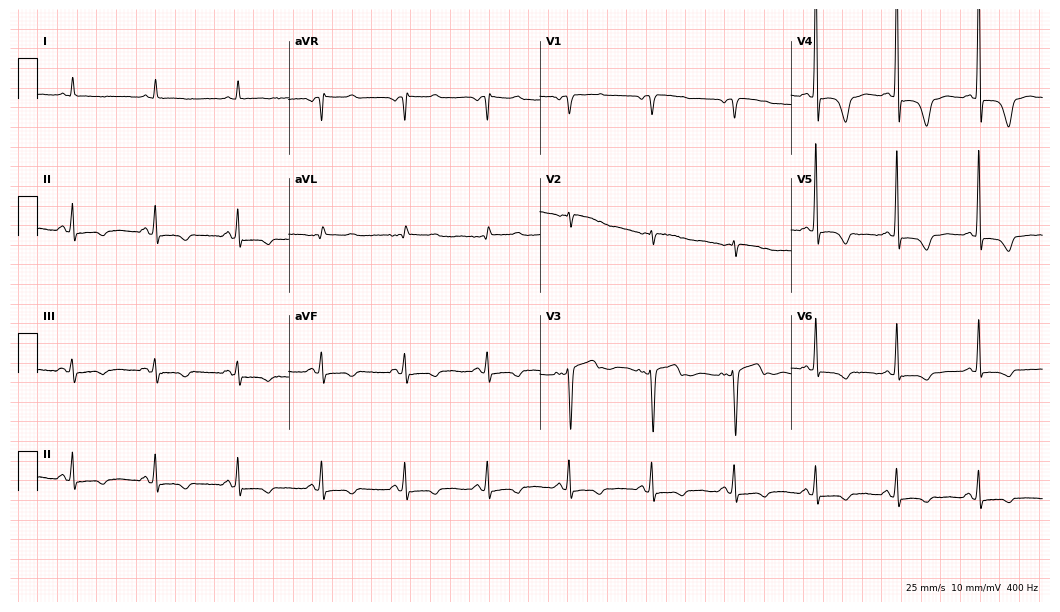
Resting 12-lead electrocardiogram. Patient: a female, 75 years old. None of these six findings is recorded: first-degree AV block, right bundle branch block, left bundle branch block, sinus bradycardia, atrial fibrillation, sinus tachycardia. Other findings, if any, are not listed.